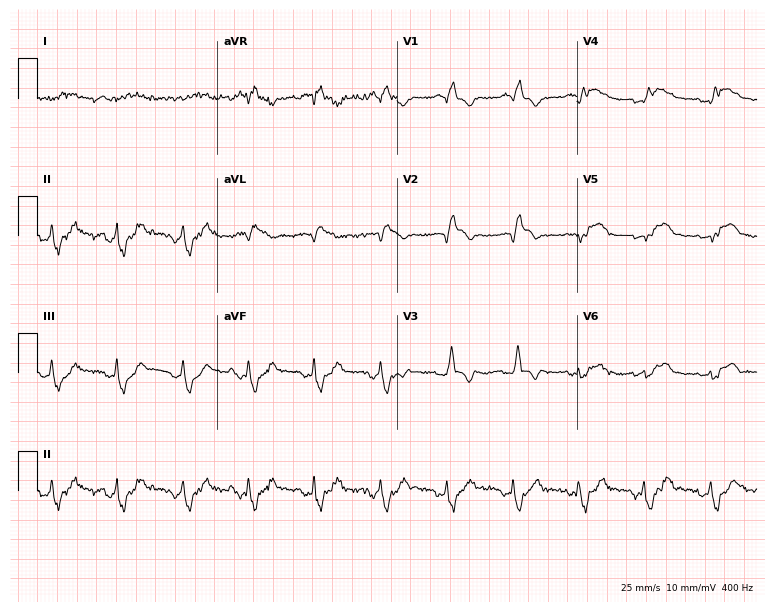
Resting 12-lead electrocardiogram. Patient: a 65-year-old male. None of these six findings is recorded: first-degree AV block, right bundle branch block, left bundle branch block, sinus bradycardia, atrial fibrillation, sinus tachycardia. Only these six findings were labelled.